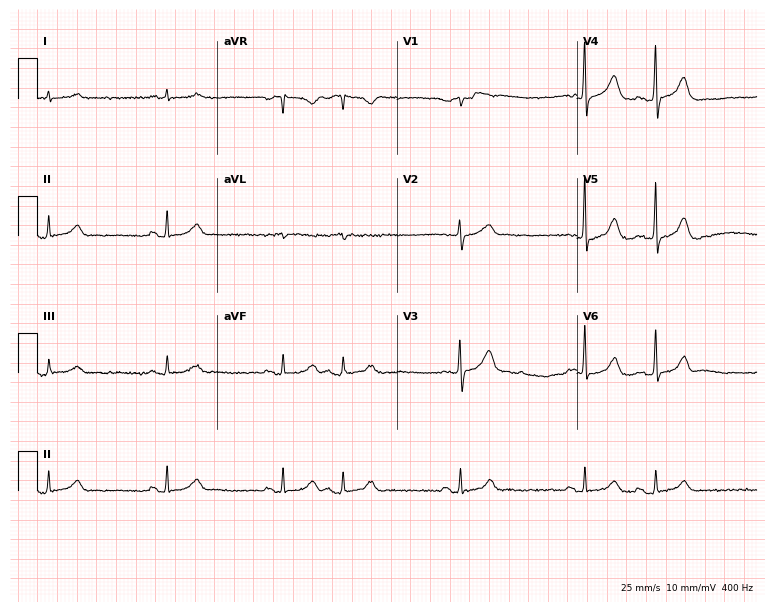
Standard 12-lead ECG recorded from a male patient, 81 years old (7.3-second recording at 400 Hz). None of these six findings is recorded: first-degree AV block, right bundle branch block (RBBB), left bundle branch block (LBBB), sinus bradycardia, atrial fibrillation (AF), sinus tachycardia.